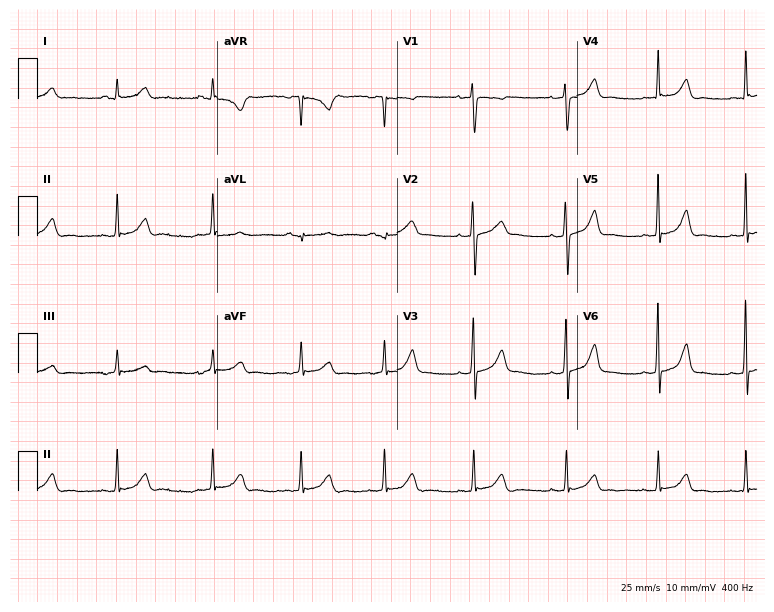
12-lead ECG from a woman, 18 years old. No first-degree AV block, right bundle branch block, left bundle branch block, sinus bradycardia, atrial fibrillation or sinus tachycardia recorded for this tracing. Findings outside these six are not listed.